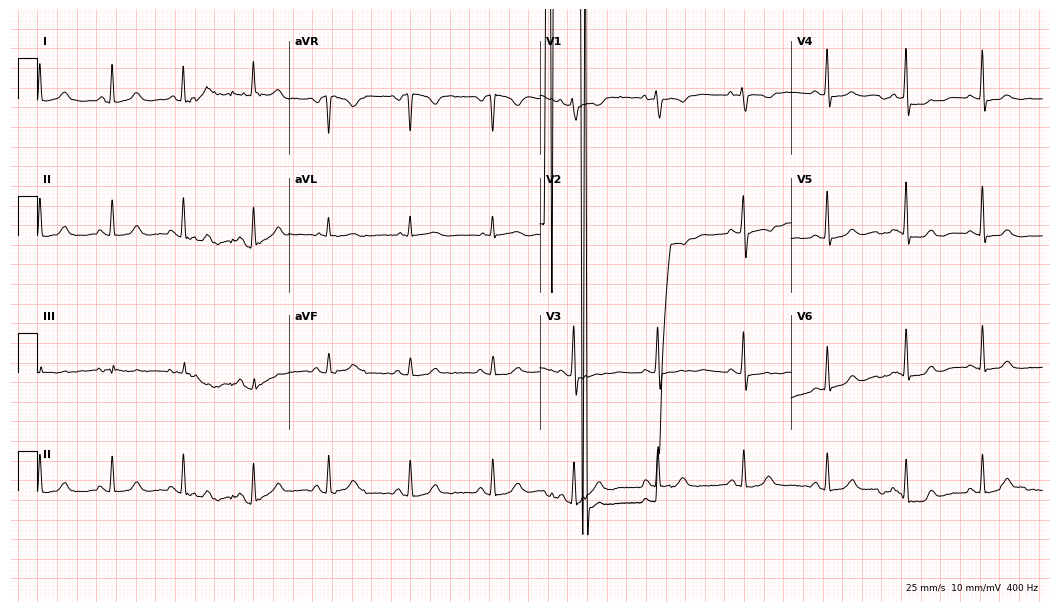
Resting 12-lead electrocardiogram (10.2-second recording at 400 Hz). Patient: a 50-year-old female. None of these six findings is recorded: first-degree AV block, right bundle branch block, left bundle branch block, sinus bradycardia, atrial fibrillation, sinus tachycardia.